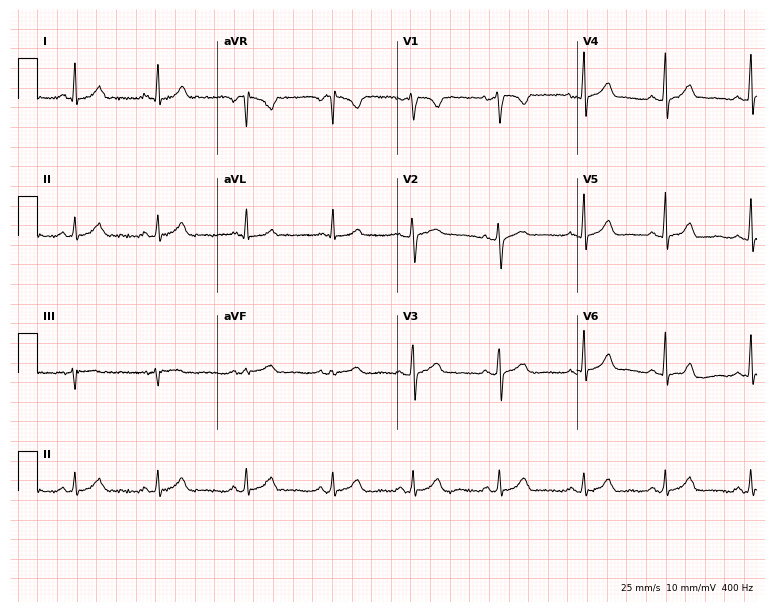
ECG — a 29-year-old woman. Screened for six findings — first-degree AV block, right bundle branch block (RBBB), left bundle branch block (LBBB), sinus bradycardia, atrial fibrillation (AF), sinus tachycardia — none is recorded.